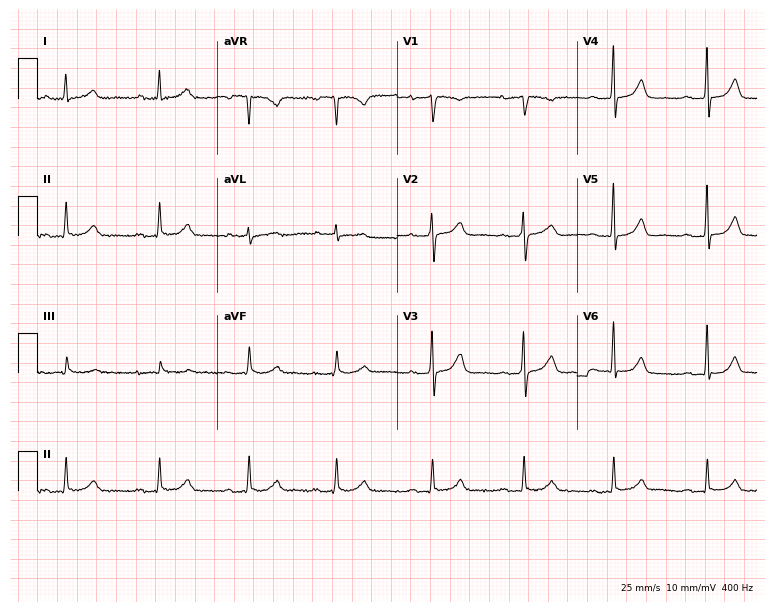
12-lead ECG from a 58-year-old female. Recorded interpretation: within normal limits.